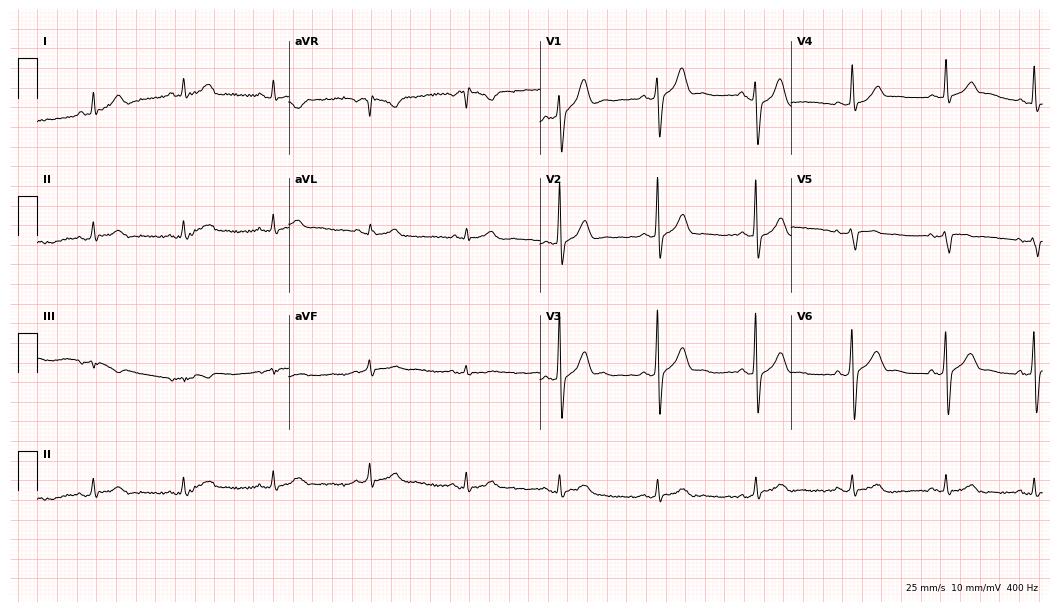
12-lead ECG from a 50-year-old male patient. Screened for six findings — first-degree AV block, right bundle branch block (RBBB), left bundle branch block (LBBB), sinus bradycardia, atrial fibrillation (AF), sinus tachycardia — none is recorded.